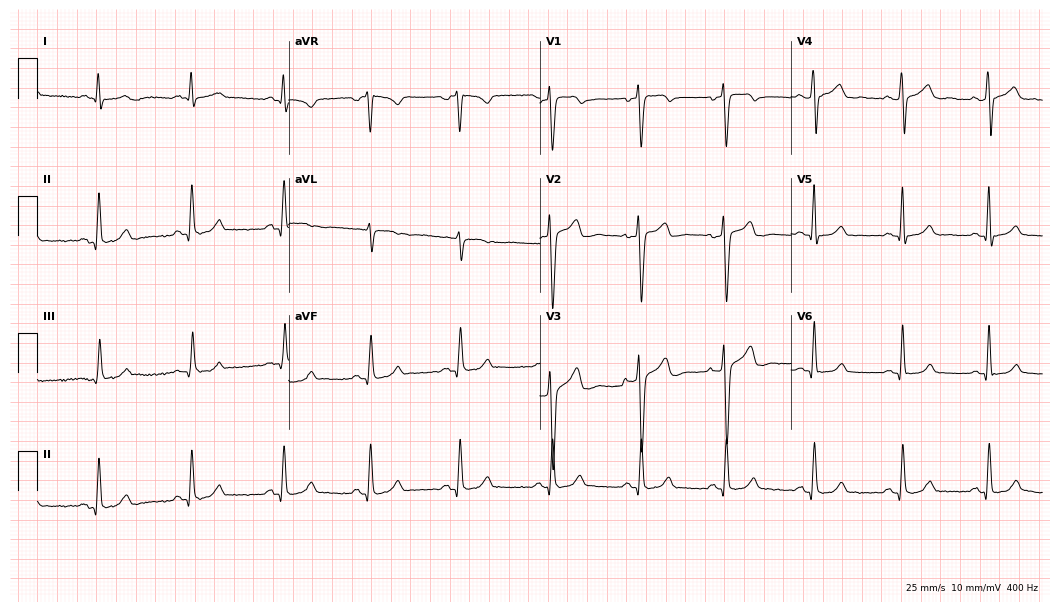
12-lead ECG (10.2-second recording at 400 Hz) from a man, 25 years old. Screened for six findings — first-degree AV block, right bundle branch block, left bundle branch block, sinus bradycardia, atrial fibrillation, sinus tachycardia — none is recorded.